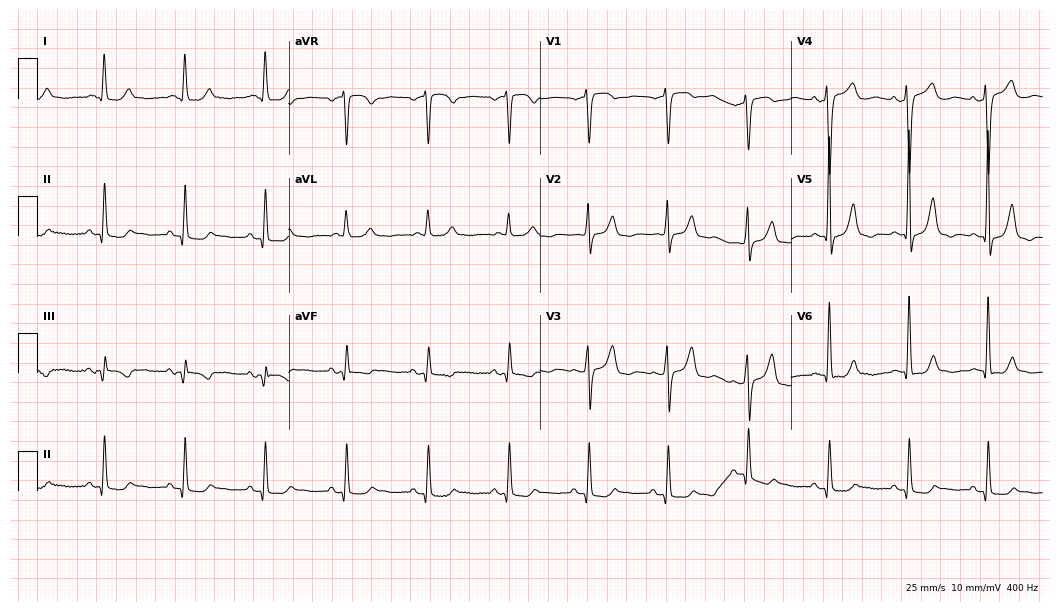
Resting 12-lead electrocardiogram. Patient: an 87-year-old woman. None of these six findings is recorded: first-degree AV block, right bundle branch block (RBBB), left bundle branch block (LBBB), sinus bradycardia, atrial fibrillation (AF), sinus tachycardia.